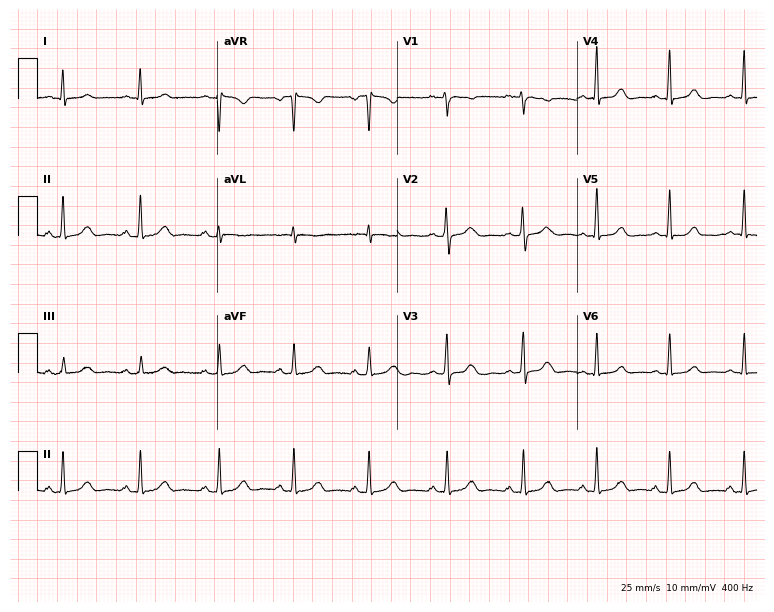
12-lead ECG from a female patient, 40 years old (7.3-second recording at 400 Hz). Recorded interpretation: within normal limits.